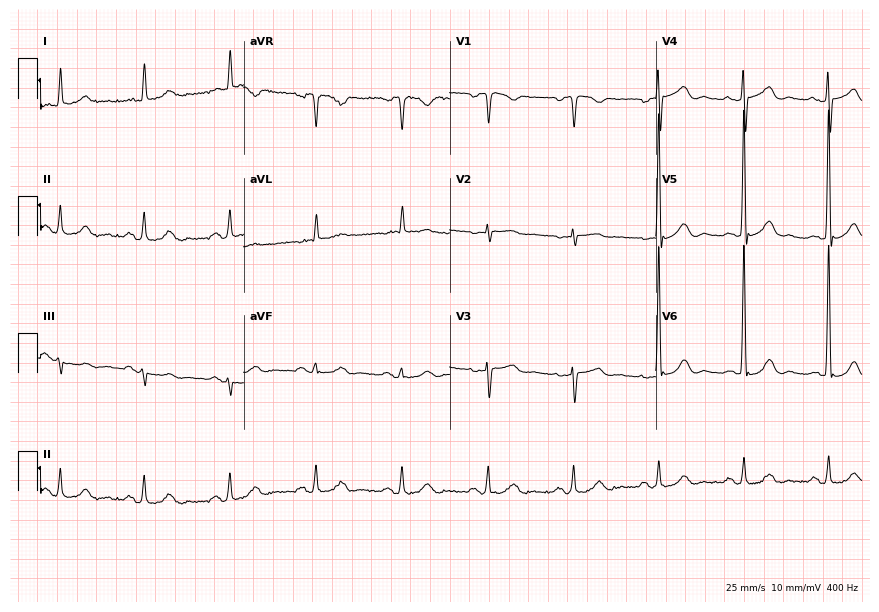
Electrocardiogram (8.4-second recording at 400 Hz), a 72-year-old male. Of the six screened findings (first-degree AV block, right bundle branch block, left bundle branch block, sinus bradycardia, atrial fibrillation, sinus tachycardia), none is recorded. Other findings, if any, are not listed.